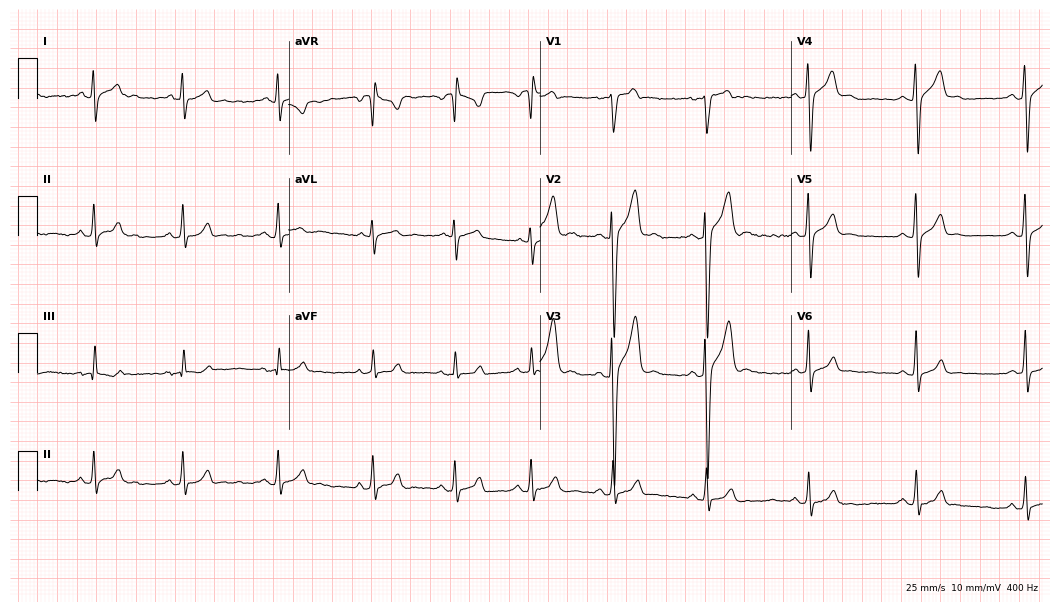
Electrocardiogram, an 18-year-old male. Overall reading on record: normal ECG.